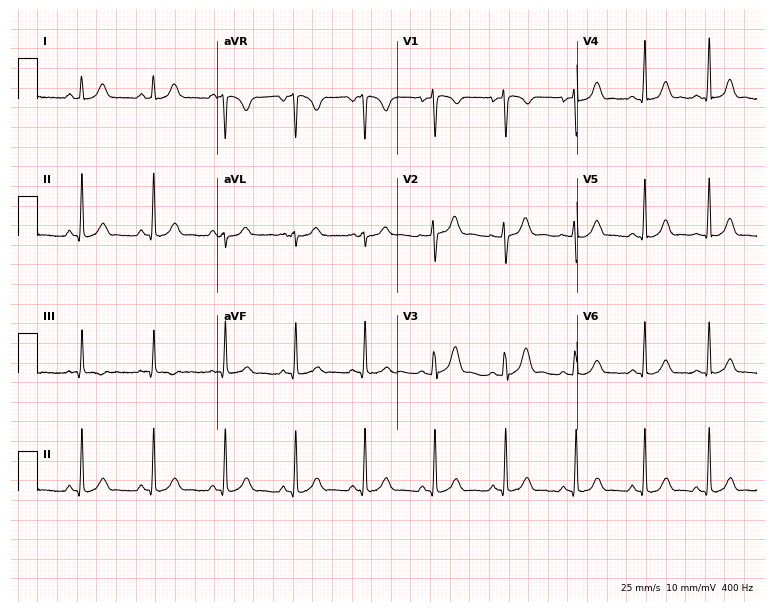
12-lead ECG from a female patient, 25 years old (7.3-second recording at 400 Hz). No first-degree AV block, right bundle branch block, left bundle branch block, sinus bradycardia, atrial fibrillation or sinus tachycardia recorded for this tracing. Only these six findings were labelled.